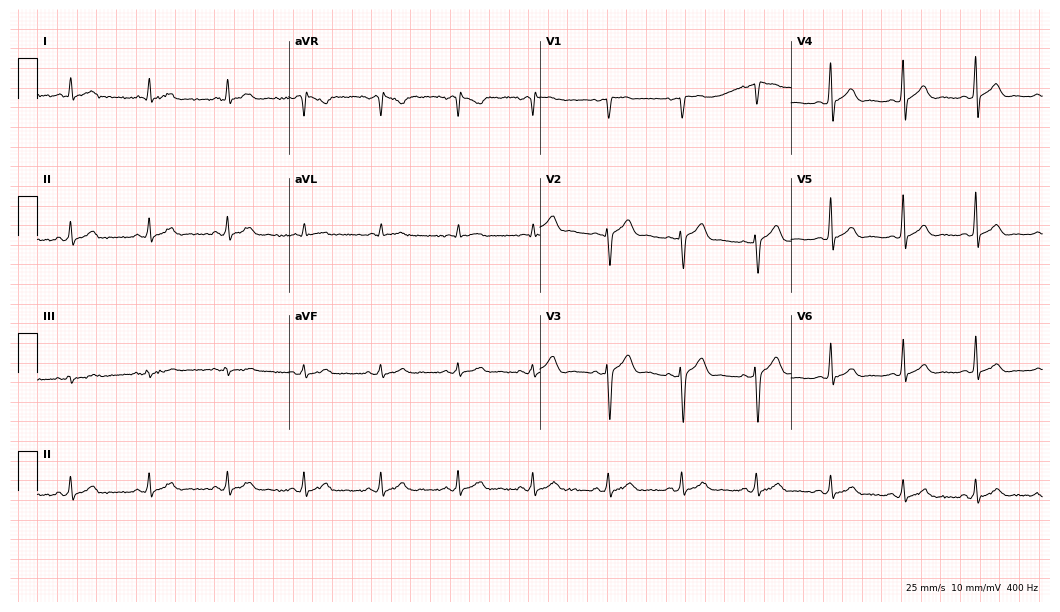
Standard 12-lead ECG recorded from a 49-year-old male. Read as a normal ECG.